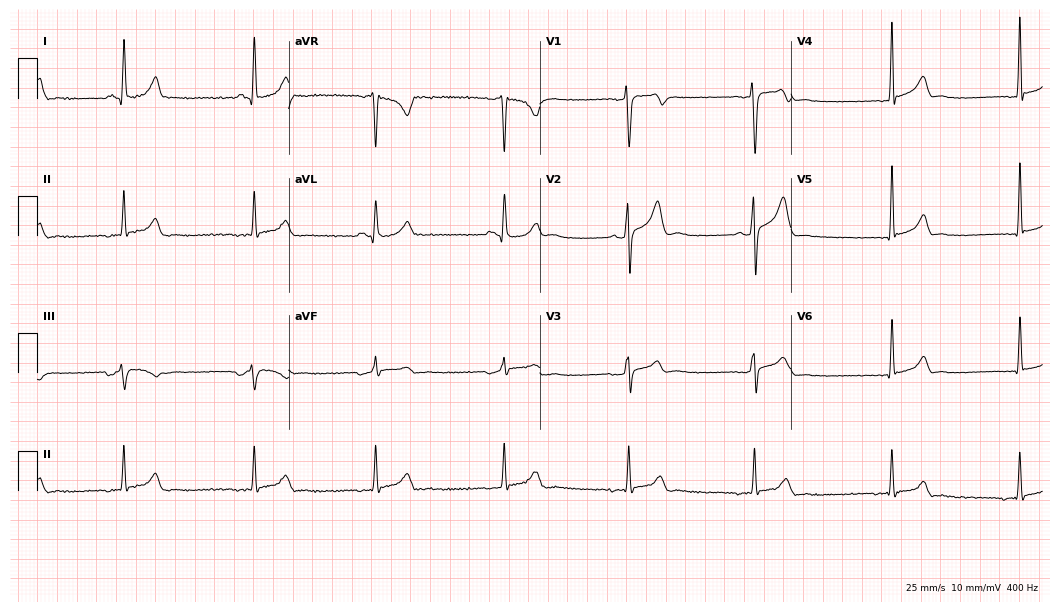
12-lead ECG from a 30-year-old male (10.2-second recording at 400 Hz). Shows sinus bradycardia (a sinus rate of 50 beats per minute or less).